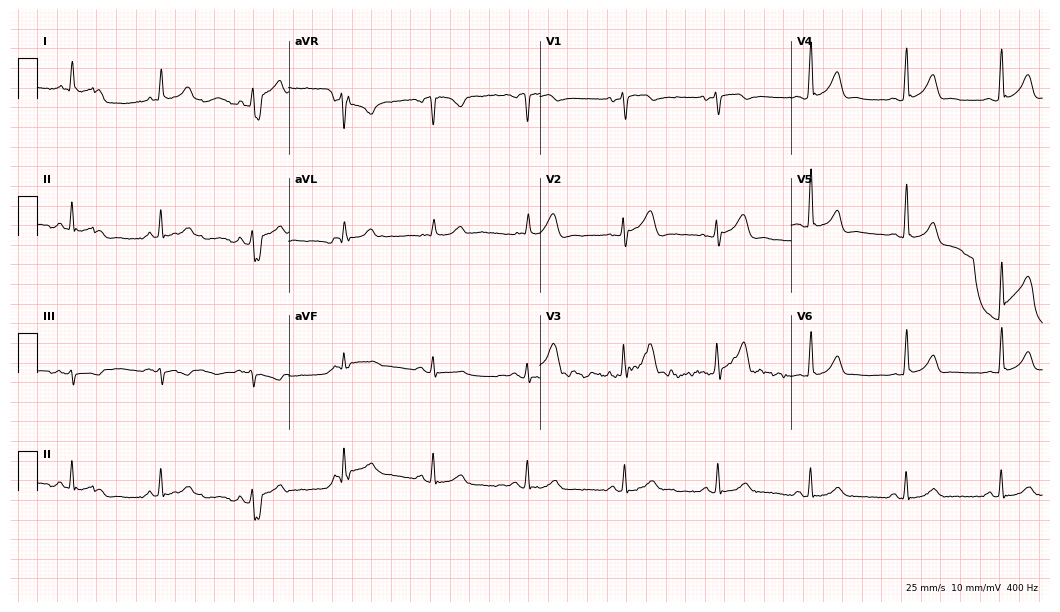
Resting 12-lead electrocardiogram (10.2-second recording at 400 Hz). Patient: a 44-year-old man. None of these six findings is recorded: first-degree AV block, right bundle branch block, left bundle branch block, sinus bradycardia, atrial fibrillation, sinus tachycardia.